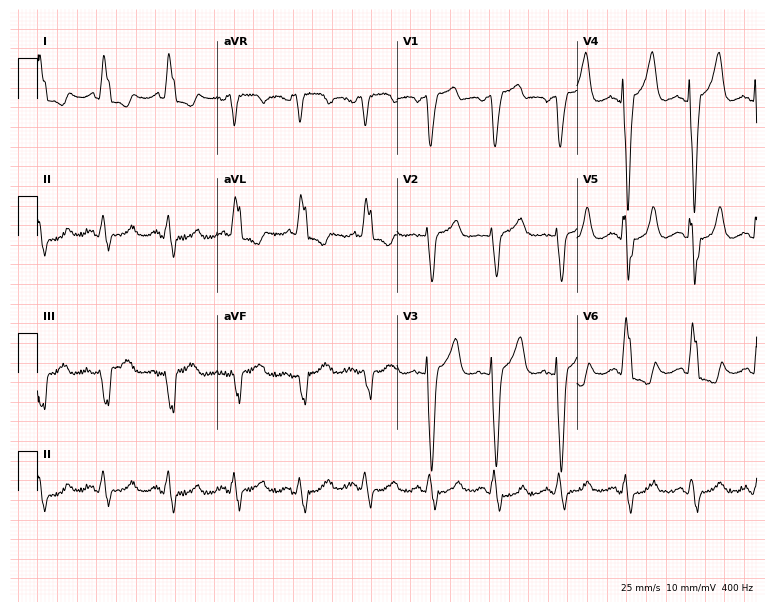
12-lead ECG from an 85-year-old female patient (7.3-second recording at 400 Hz). Shows left bundle branch block (LBBB).